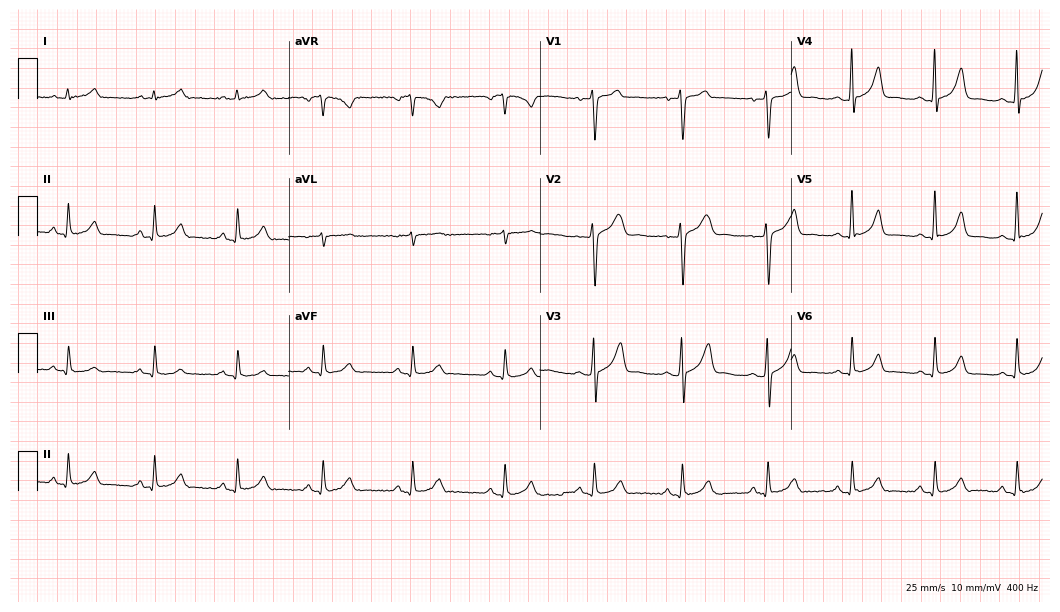
Electrocardiogram (10.2-second recording at 400 Hz), a 45-year-old male patient. Overall reading on record: normal ECG.